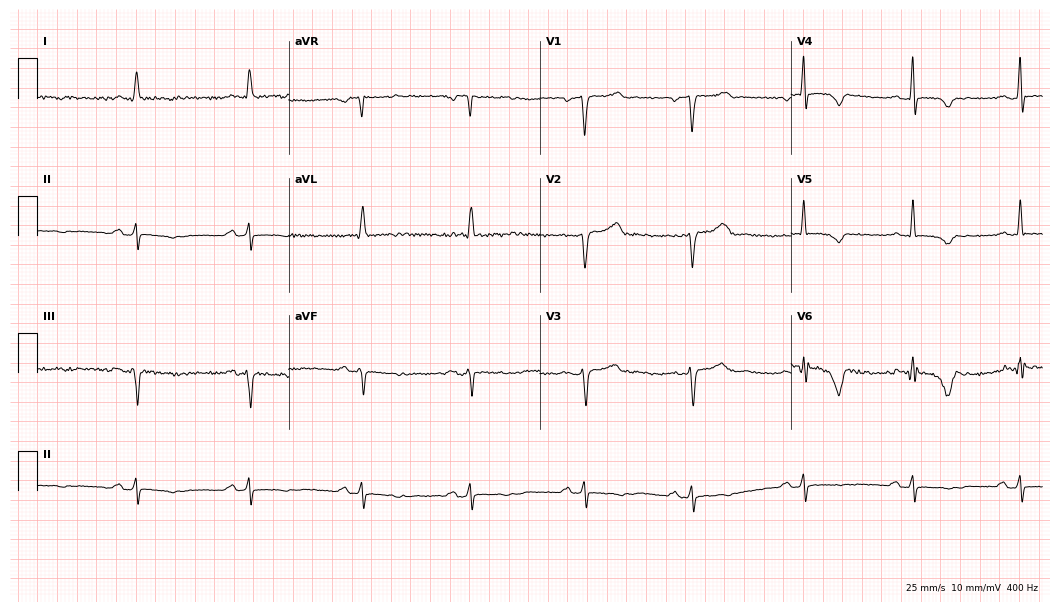
ECG — a 71-year-old man. Screened for six findings — first-degree AV block, right bundle branch block, left bundle branch block, sinus bradycardia, atrial fibrillation, sinus tachycardia — none is recorded.